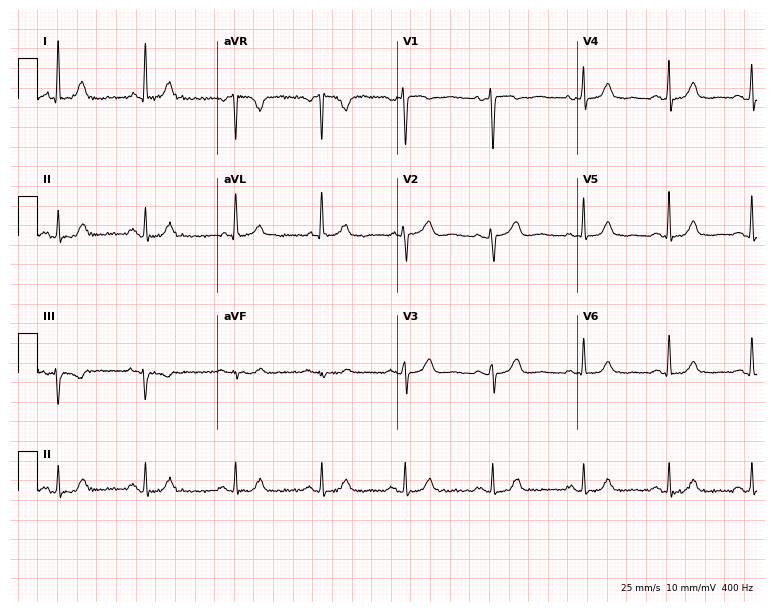
Resting 12-lead electrocardiogram (7.3-second recording at 400 Hz). Patient: a 79-year-old woman. Read as a normal ECG.